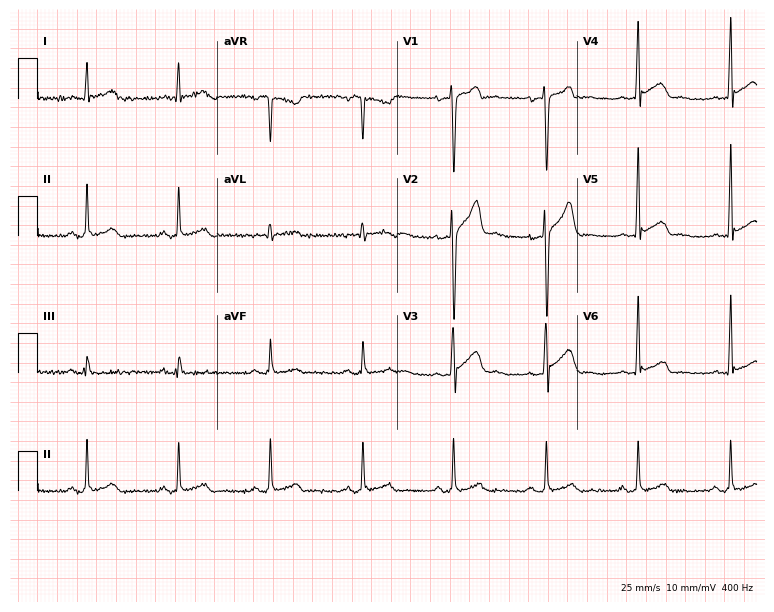
Resting 12-lead electrocardiogram (7.3-second recording at 400 Hz). Patient: a 56-year-old male. None of these six findings is recorded: first-degree AV block, right bundle branch block, left bundle branch block, sinus bradycardia, atrial fibrillation, sinus tachycardia.